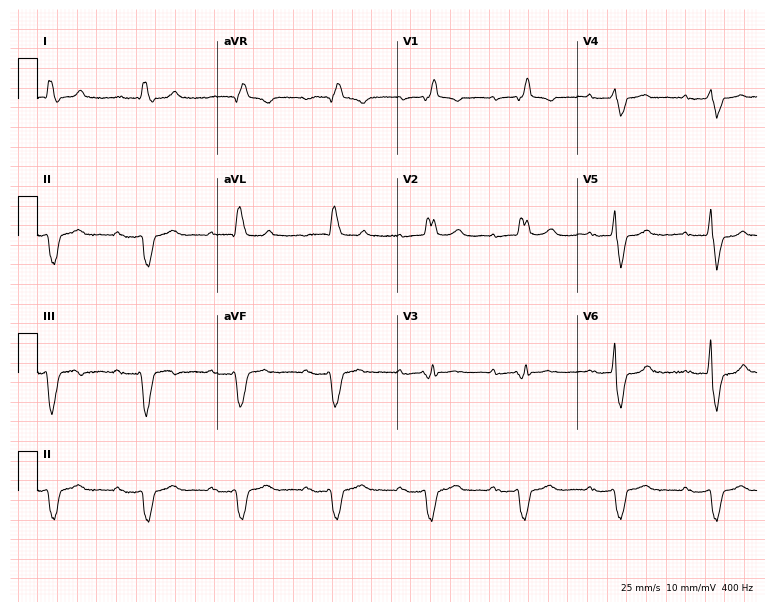
Electrocardiogram, an 83-year-old male. Interpretation includes first-degree AV block, right bundle branch block (RBBB).